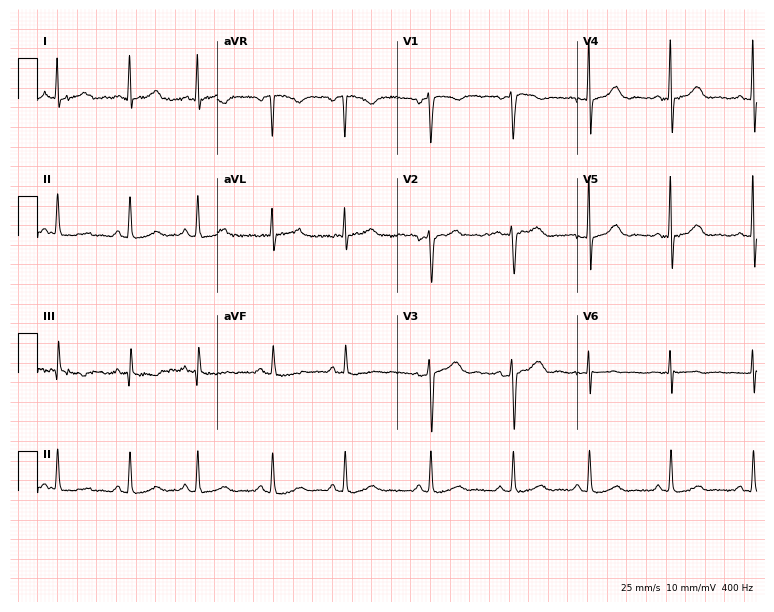
12-lead ECG from a 41-year-old female patient. No first-degree AV block, right bundle branch block (RBBB), left bundle branch block (LBBB), sinus bradycardia, atrial fibrillation (AF) or sinus tachycardia recorded for this tracing.